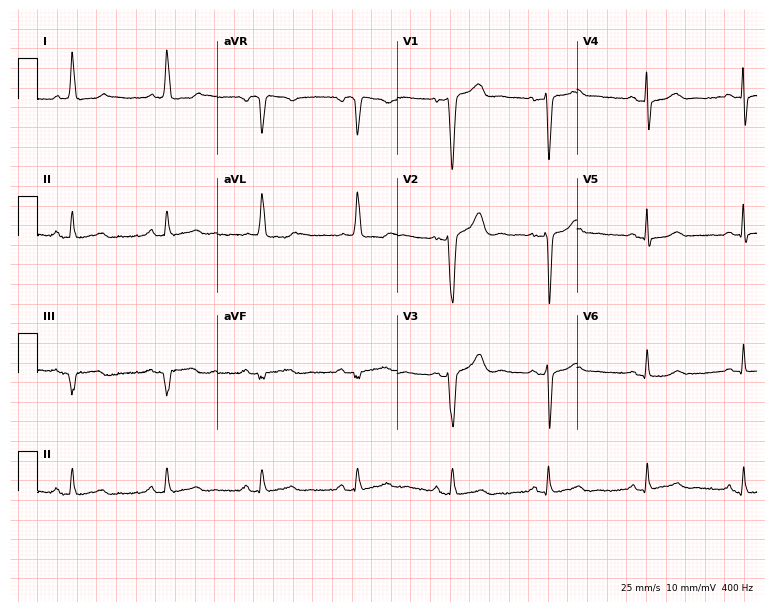
ECG — a female patient, 77 years old. Screened for six findings — first-degree AV block, right bundle branch block (RBBB), left bundle branch block (LBBB), sinus bradycardia, atrial fibrillation (AF), sinus tachycardia — none is recorded. Other findings, if any, are not listed.